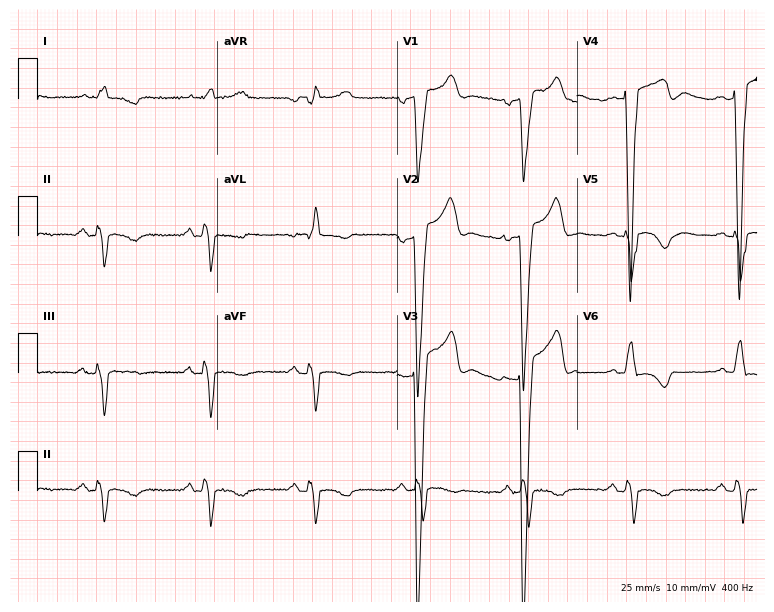
12-lead ECG (7.3-second recording at 400 Hz) from a 75-year-old male. Findings include left bundle branch block.